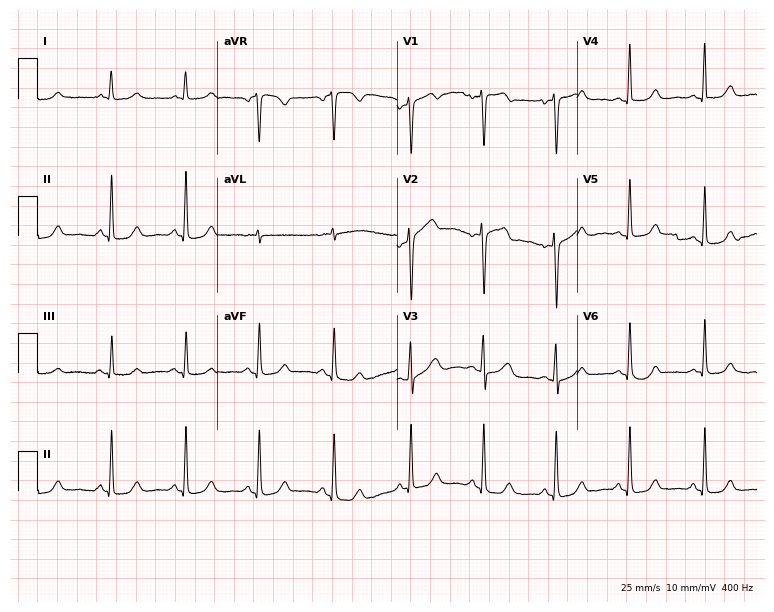
Standard 12-lead ECG recorded from a 67-year-old female patient. None of these six findings is recorded: first-degree AV block, right bundle branch block, left bundle branch block, sinus bradycardia, atrial fibrillation, sinus tachycardia.